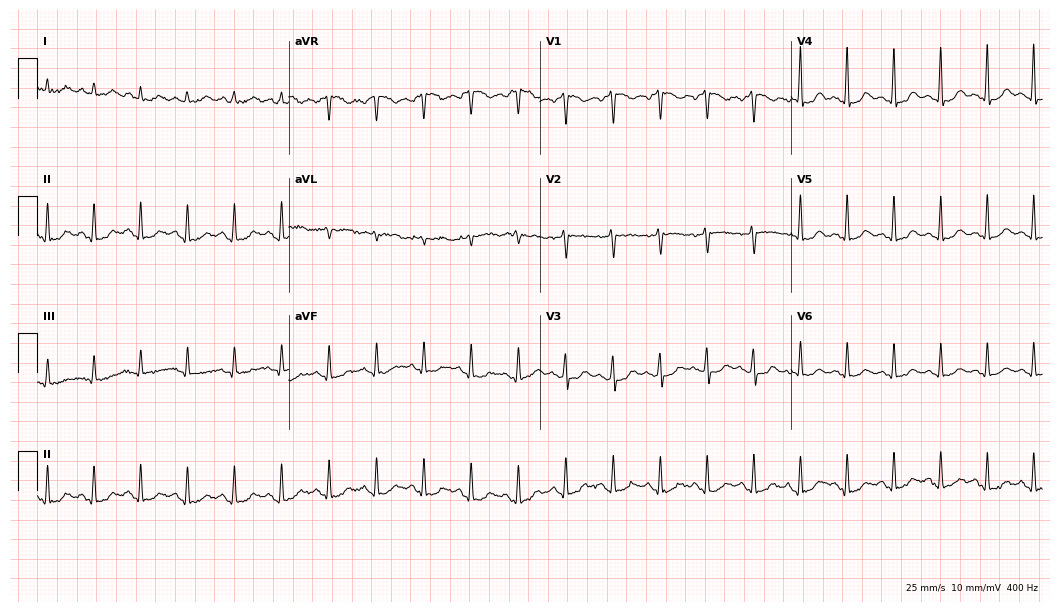
Resting 12-lead electrocardiogram (10.2-second recording at 400 Hz). Patient: a 42-year-old woman. The tracing shows sinus tachycardia (a sinus rate of 100 beats per minute or more).